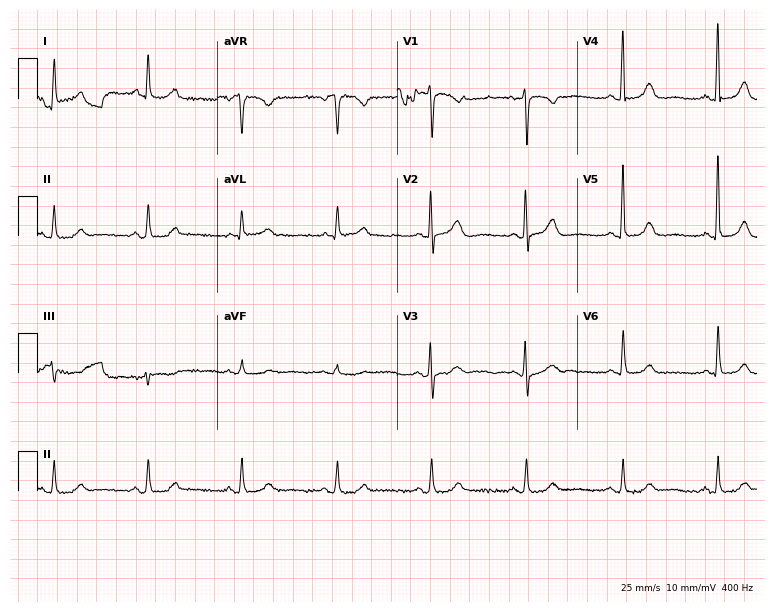
Standard 12-lead ECG recorded from a 79-year-old female patient. None of these six findings is recorded: first-degree AV block, right bundle branch block, left bundle branch block, sinus bradycardia, atrial fibrillation, sinus tachycardia. Only these six findings were labelled.